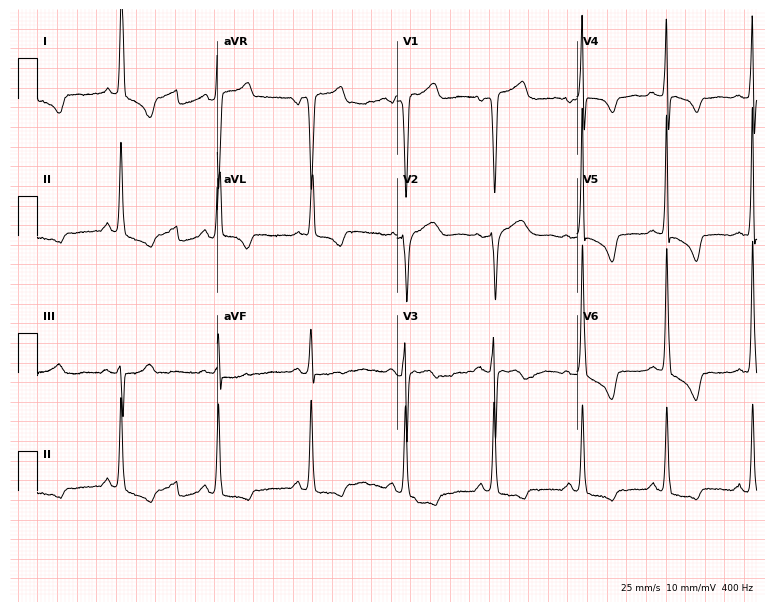
ECG (7.3-second recording at 400 Hz) — an 81-year-old female patient. Screened for six findings — first-degree AV block, right bundle branch block, left bundle branch block, sinus bradycardia, atrial fibrillation, sinus tachycardia — none is recorded.